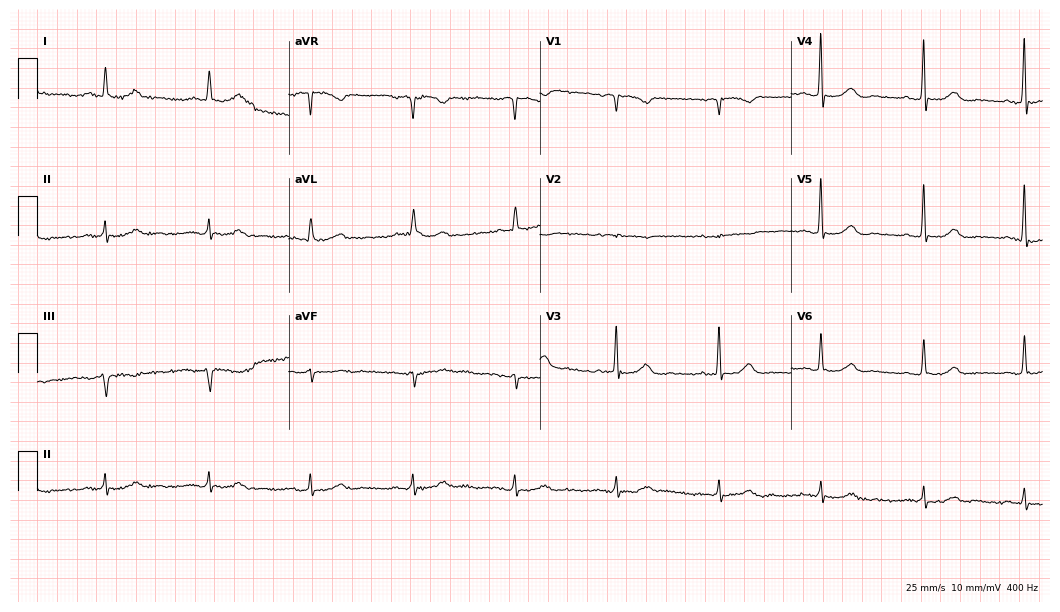
12-lead ECG from a female patient, 77 years old (10.2-second recording at 400 Hz). Recorded interpretation: within normal limits.